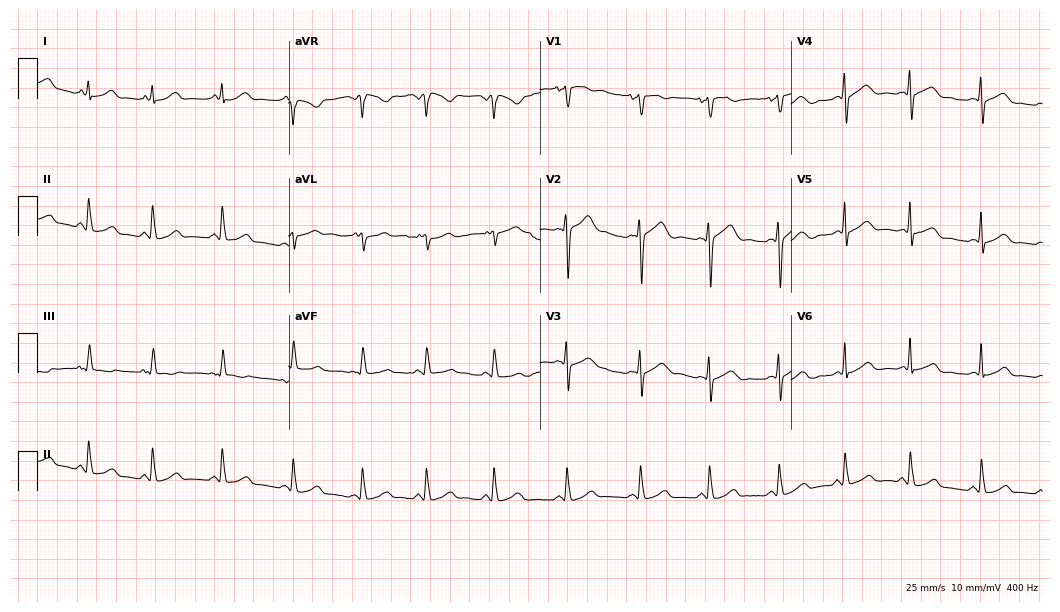
Standard 12-lead ECG recorded from a female, 23 years old. Read as a normal ECG.